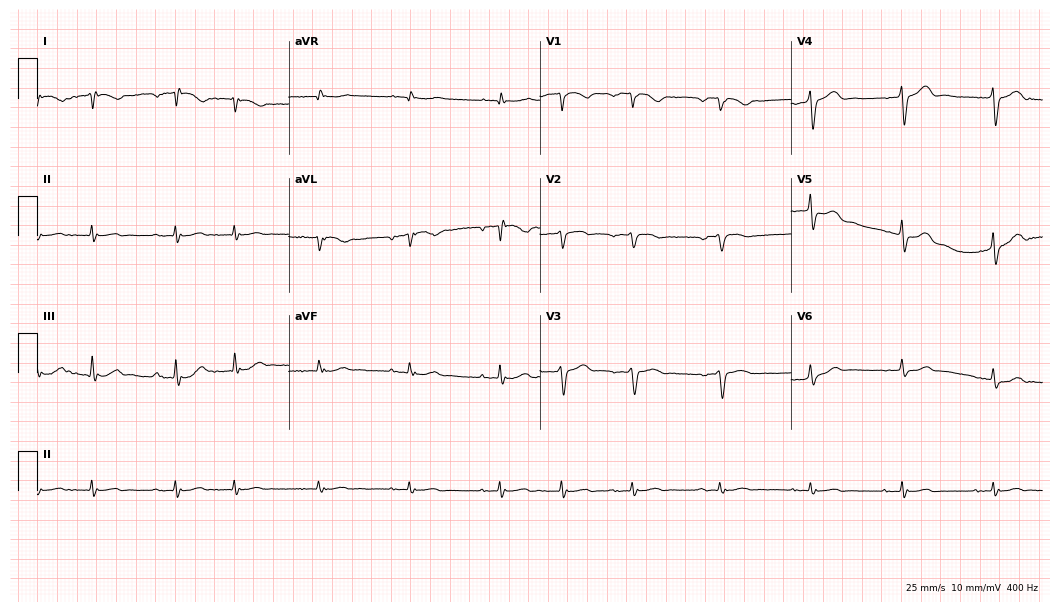
Electrocardiogram (10.2-second recording at 400 Hz), a male patient, 83 years old. Of the six screened findings (first-degree AV block, right bundle branch block (RBBB), left bundle branch block (LBBB), sinus bradycardia, atrial fibrillation (AF), sinus tachycardia), none is recorded. Other findings, if any, are not listed.